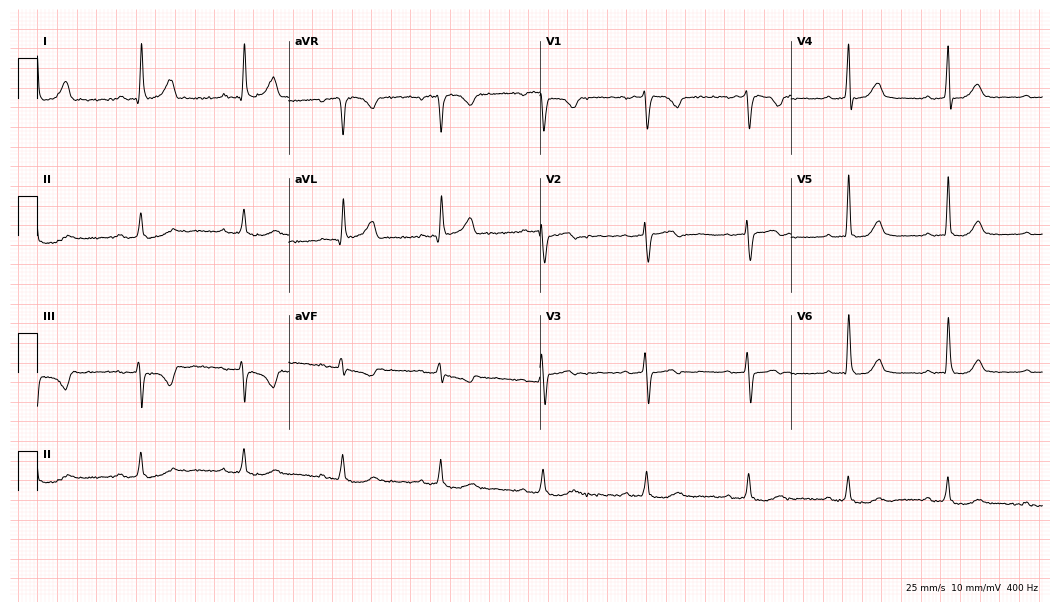
Standard 12-lead ECG recorded from a female, 47 years old. None of these six findings is recorded: first-degree AV block, right bundle branch block, left bundle branch block, sinus bradycardia, atrial fibrillation, sinus tachycardia.